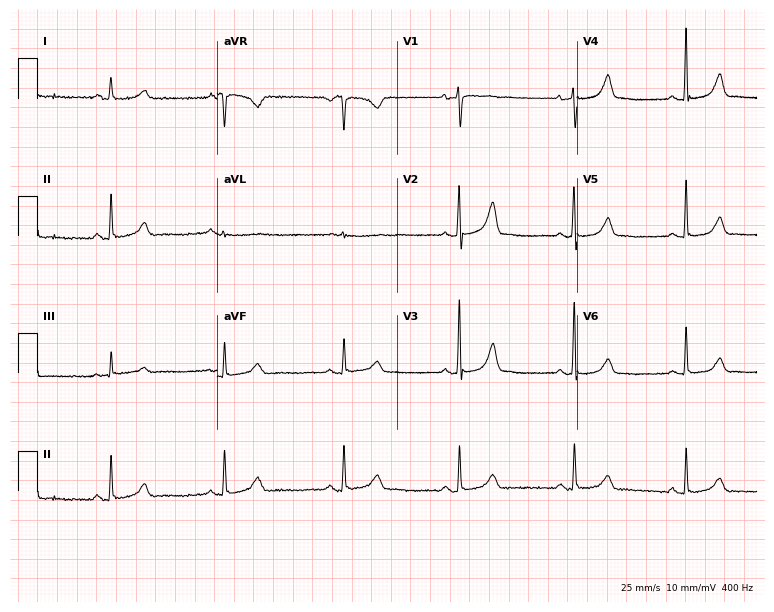
ECG — a woman, 53 years old. Labelled as a normal ECG.